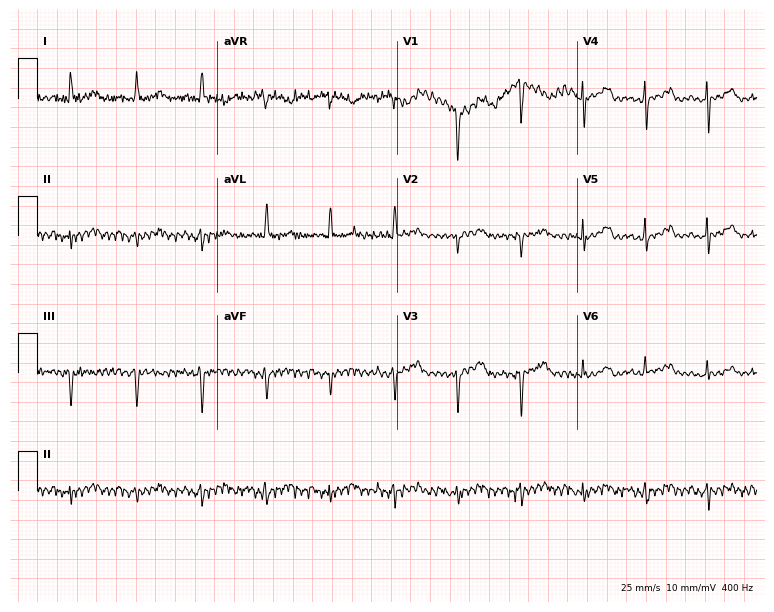
12-lead ECG (7.3-second recording at 400 Hz) from a 74-year-old woman. Screened for six findings — first-degree AV block, right bundle branch block, left bundle branch block, sinus bradycardia, atrial fibrillation, sinus tachycardia — none is recorded.